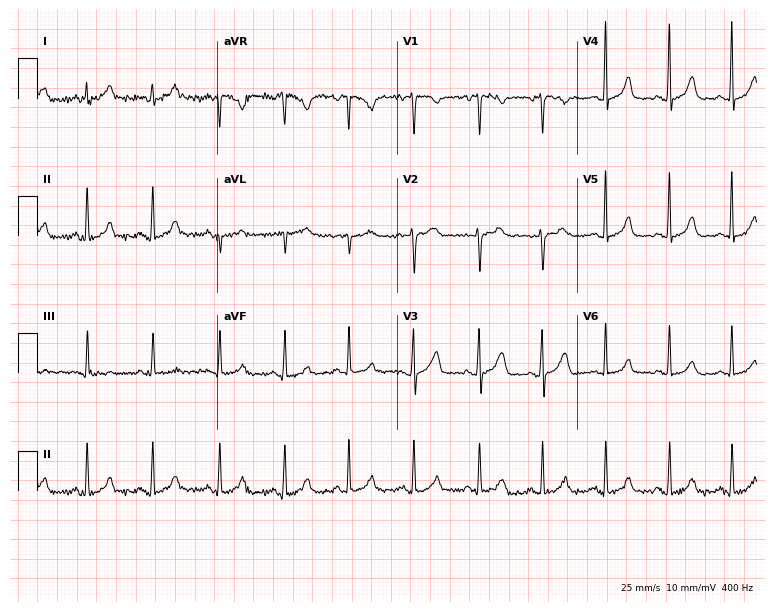
Resting 12-lead electrocardiogram (7.3-second recording at 400 Hz). Patient: a 27-year-old woman. Read as a normal ECG.